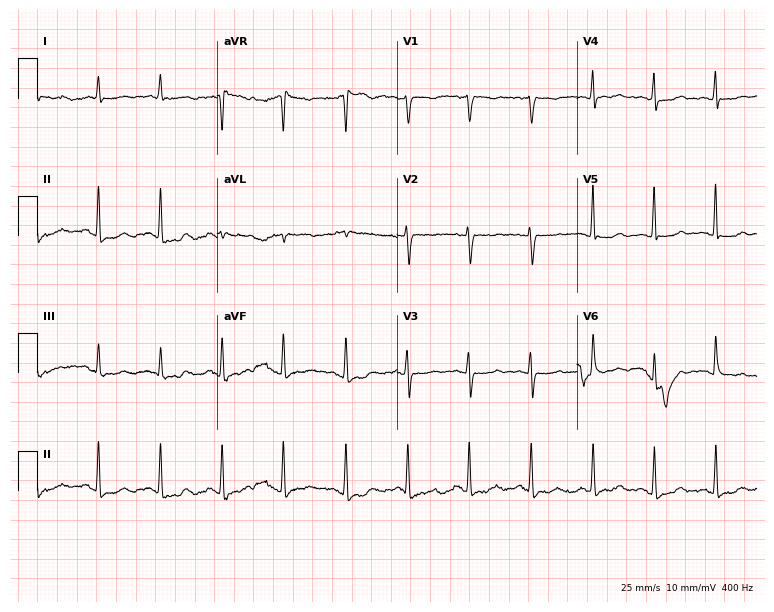
Standard 12-lead ECG recorded from an 81-year-old female. None of these six findings is recorded: first-degree AV block, right bundle branch block, left bundle branch block, sinus bradycardia, atrial fibrillation, sinus tachycardia.